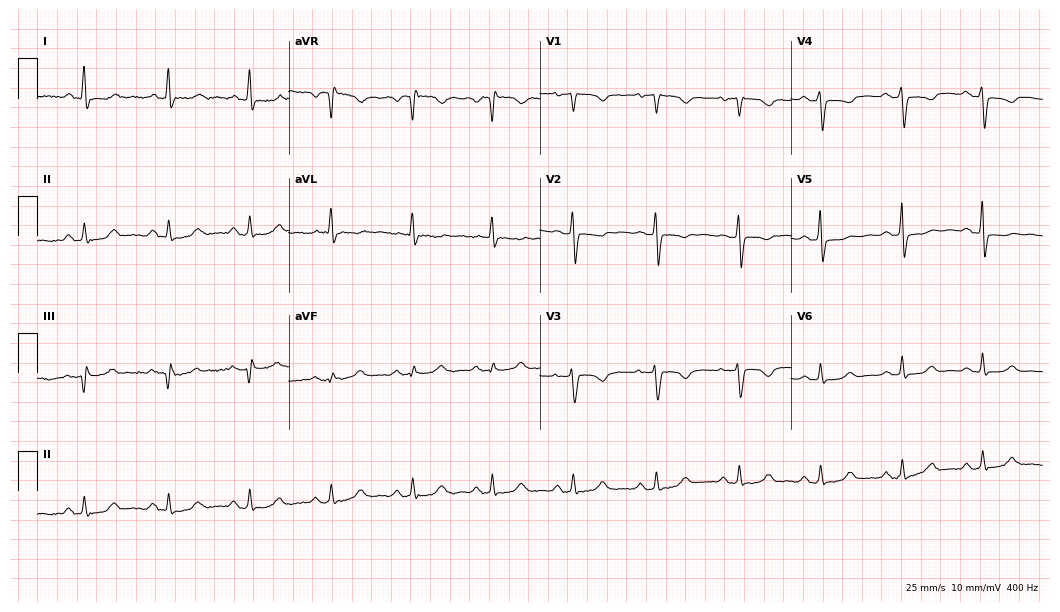
12-lead ECG (10.2-second recording at 400 Hz) from a female patient, 54 years old. Labelled as a normal ECG.